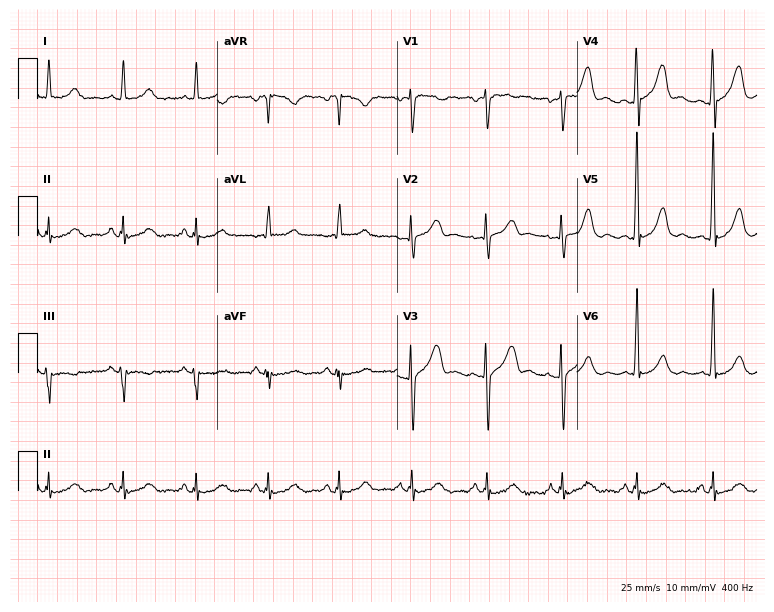
Resting 12-lead electrocardiogram. Patient: a man, 60 years old. Read as a normal ECG.